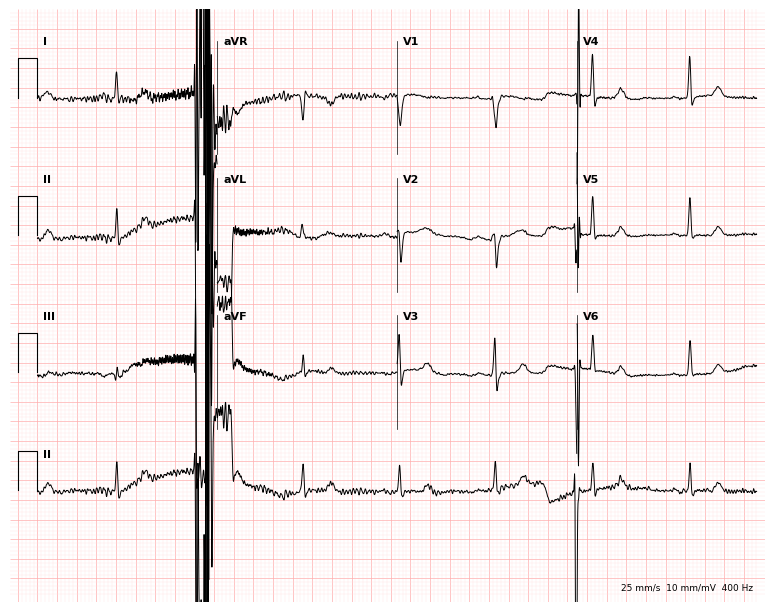
Electrocardiogram (7.3-second recording at 400 Hz), a woman, 45 years old. Of the six screened findings (first-degree AV block, right bundle branch block, left bundle branch block, sinus bradycardia, atrial fibrillation, sinus tachycardia), none is recorded. Findings outside these six are not listed.